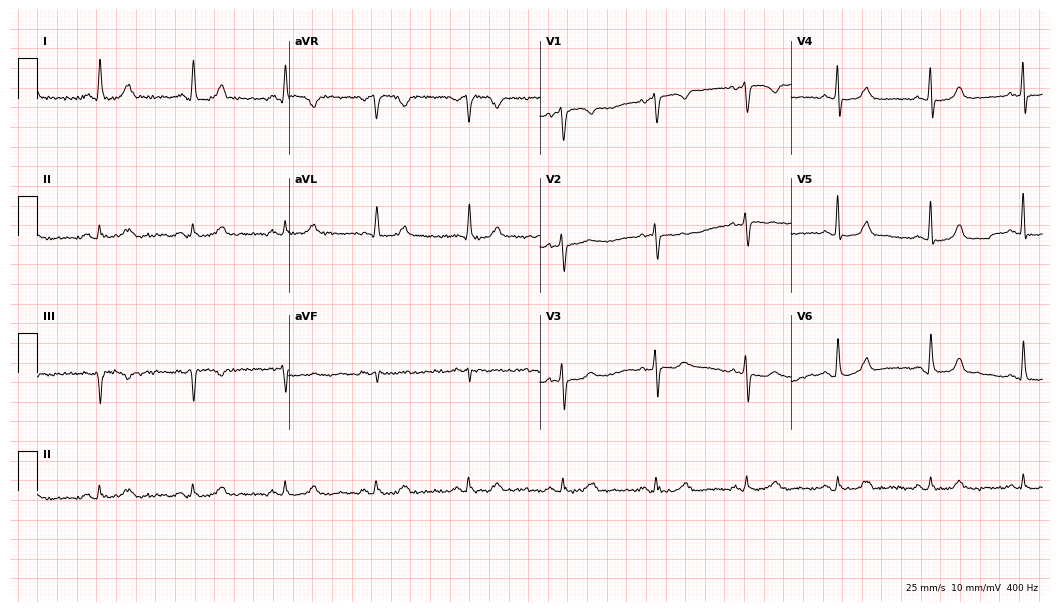
Standard 12-lead ECG recorded from a 69-year-old female. None of these six findings is recorded: first-degree AV block, right bundle branch block, left bundle branch block, sinus bradycardia, atrial fibrillation, sinus tachycardia. Other findings, if any, are not listed.